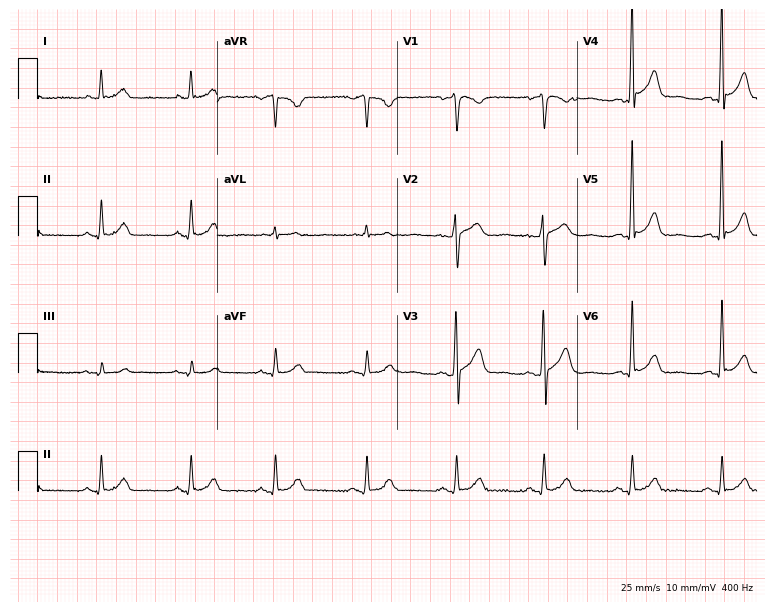
12-lead ECG (7.3-second recording at 400 Hz) from a 66-year-old male patient. Screened for six findings — first-degree AV block, right bundle branch block (RBBB), left bundle branch block (LBBB), sinus bradycardia, atrial fibrillation (AF), sinus tachycardia — none is recorded. Other findings, if any, are not listed.